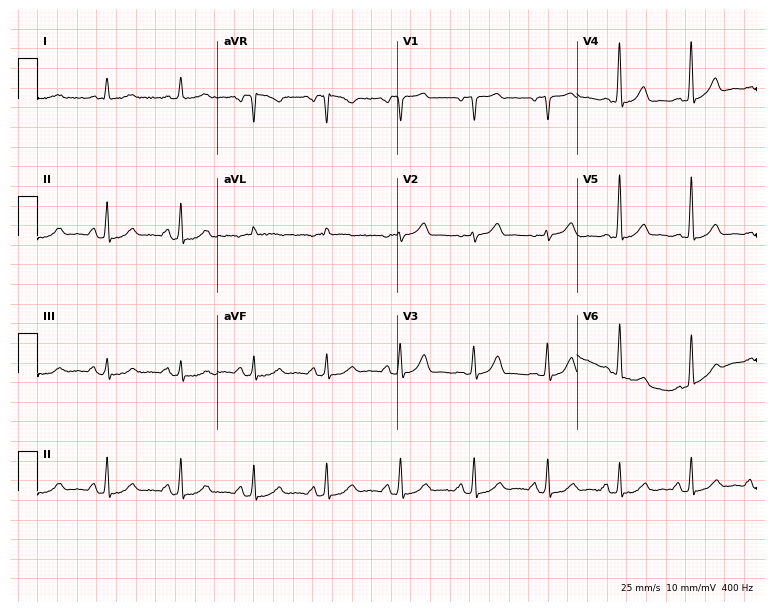
12-lead ECG from a 68-year-old male. No first-degree AV block, right bundle branch block (RBBB), left bundle branch block (LBBB), sinus bradycardia, atrial fibrillation (AF) or sinus tachycardia recorded for this tracing.